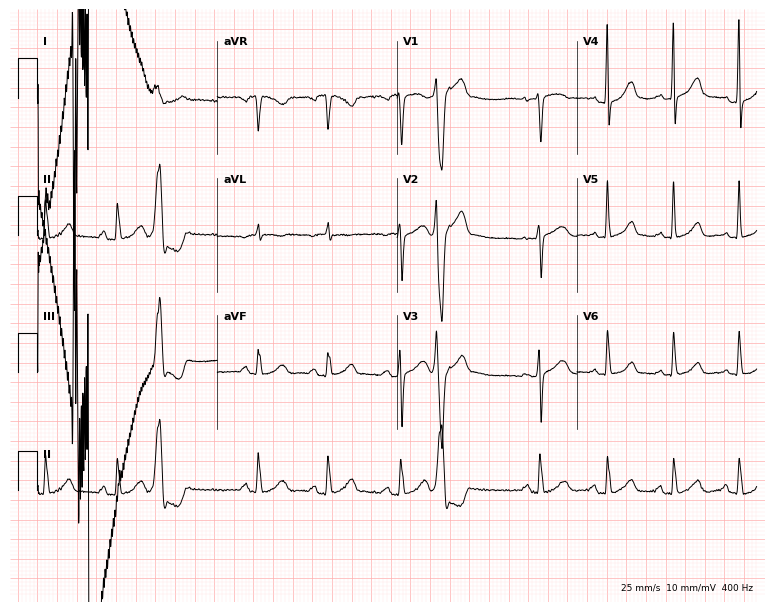
Electrocardiogram, a 61-year-old female patient. Of the six screened findings (first-degree AV block, right bundle branch block (RBBB), left bundle branch block (LBBB), sinus bradycardia, atrial fibrillation (AF), sinus tachycardia), none is recorded. Findings outside these six are not listed.